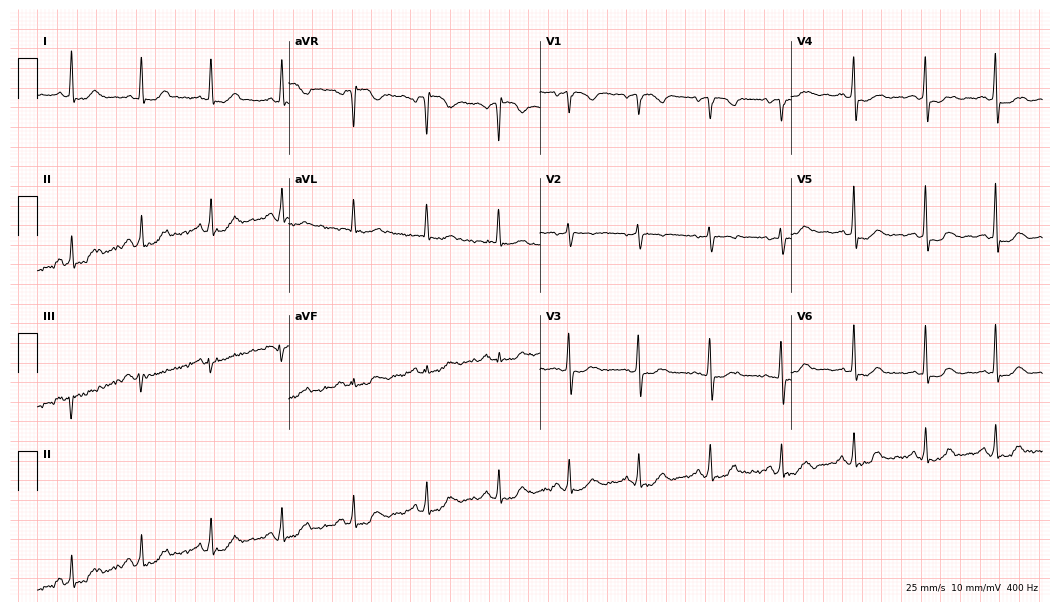
ECG — a female, 56 years old. Screened for six findings — first-degree AV block, right bundle branch block (RBBB), left bundle branch block (LBBB), sinus bradycardia, atrial fibrillation (AF), sinus tachycardia — none is recorded. Other findings, if any, are not listed.